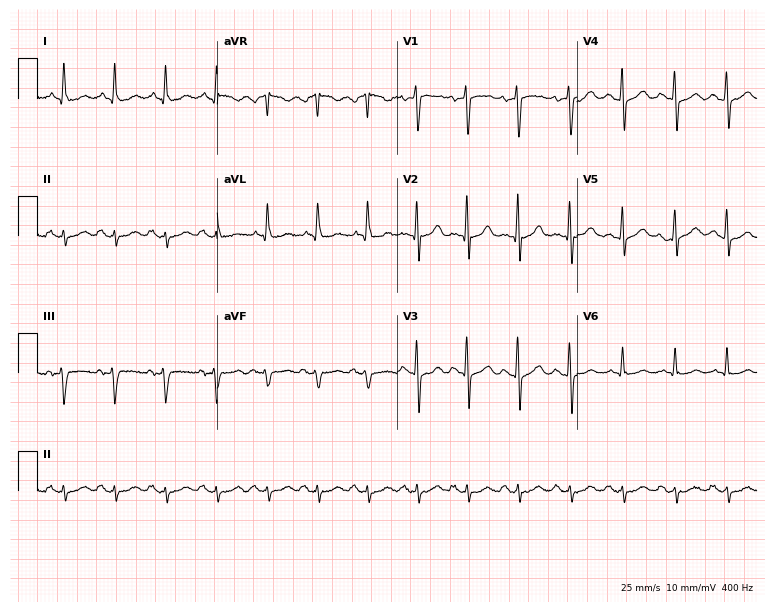
12-lead ECG from a 75-year-old female. Shows sinus tachycardia (a sinus rate of 100 beats per minute or more).